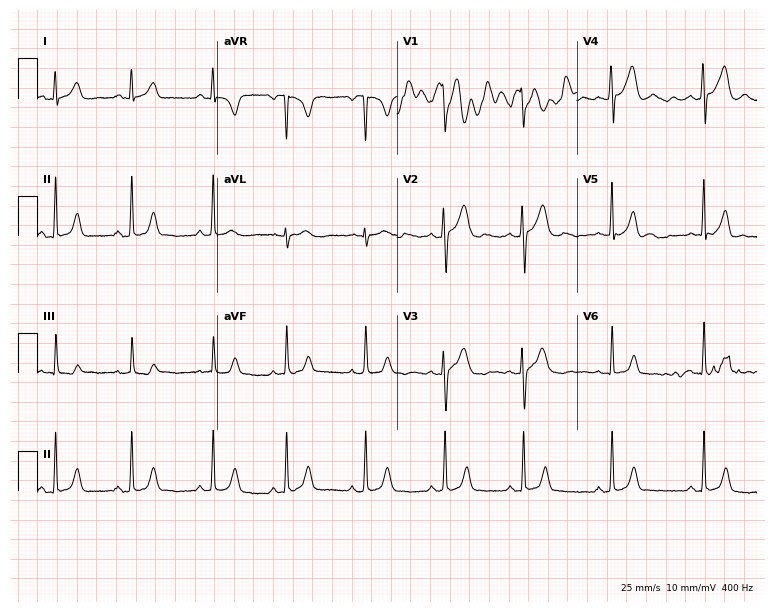
ECG (7.3-second recording at 400 Hz) — a 17-year-old female. Labelled as a normal ECG.